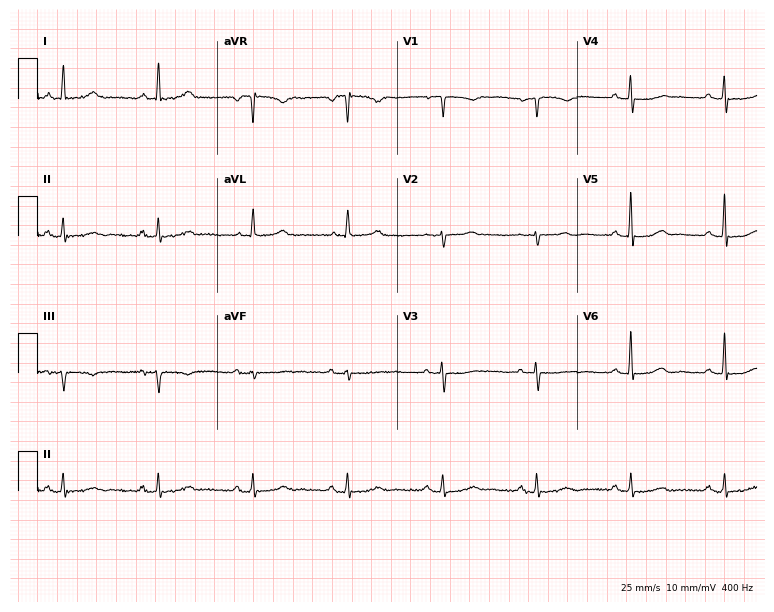
Resting 12-lead electrocardiogram (7.3-second recording at 400 Hz). Patient: a 73-year-old woman. None of these six findings is recorded: first-degree AV block, right bundle branch block, left bundle branch block, sinus bradycardia, atrial fibrillation, sinus tachycardia. Only these six findings were labelled.